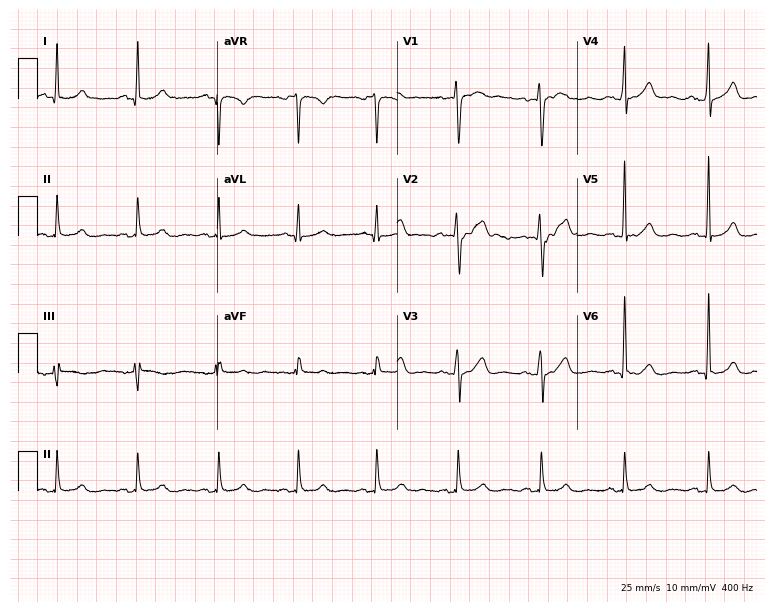
12-lead ECG from a 56-year-old female patient. No first-degree AV block, right bundle branch block (RBBB), left bundle branch block (LBBB), sinus bradycardia, atrial fibrillation (AF) or sinus tachycardia recorded for this tracing.